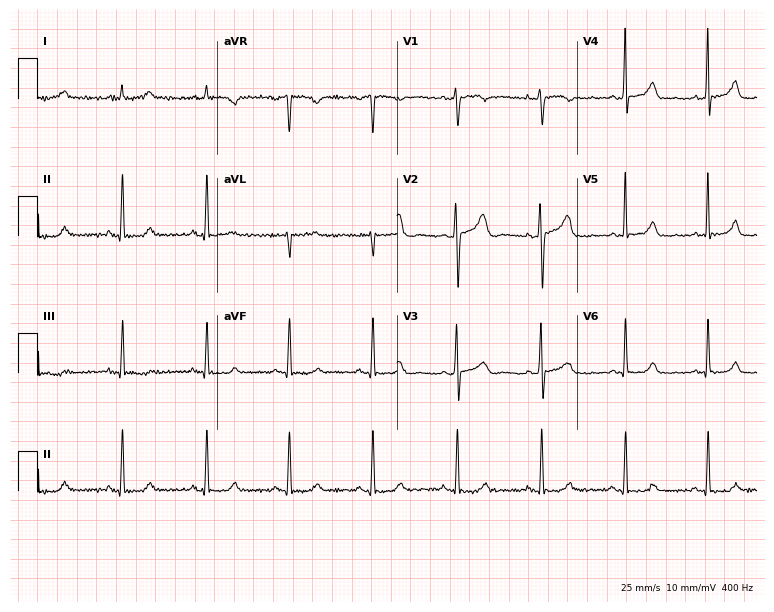
ECG (7.3-second recording at 400 Hz) — a 64-year-old female. Screened for six findings — first-degree AV block, right bundle branch block (RBBB), left bundle branch block (LBBB), sinus bradycardia, atrial fibrillation (AF), sinus tachycardia — none is recorded.